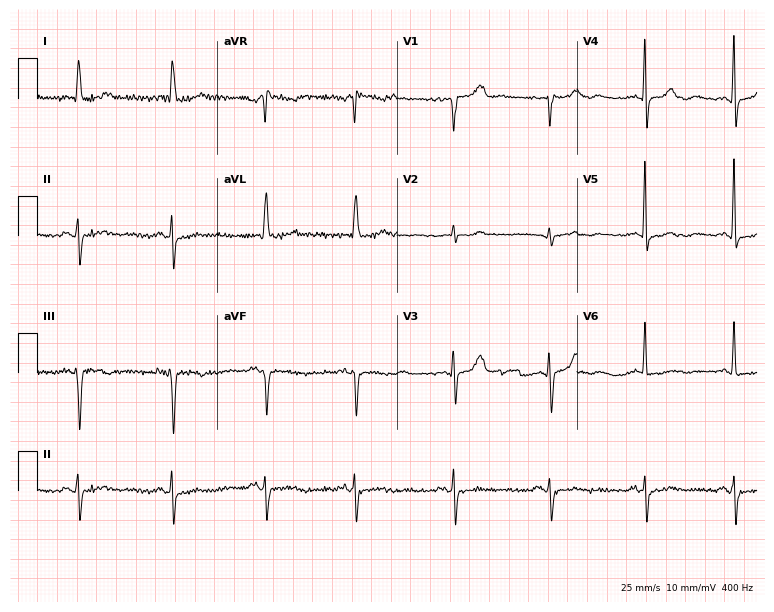
Standard 12-lead ECG recorded from an 82-year-old female. None of these six findings is recorded: first-degree AV block, right bundle branch block, left bundle branch block, sinus bradycardia, atrial fibrillation, sinus tachycardia.